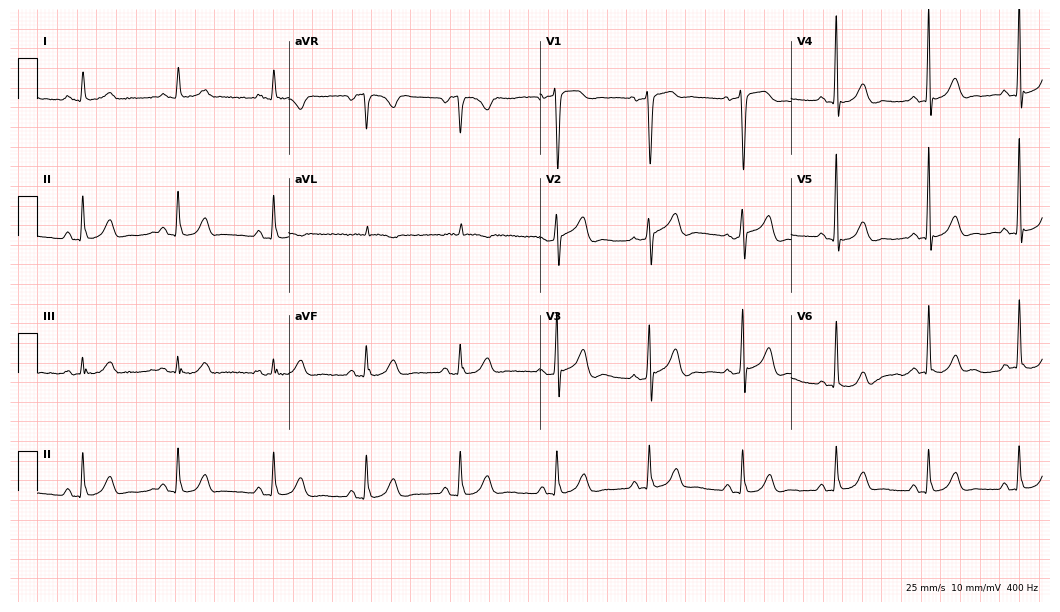
ECG (10.2-second recording at 400 Hz) — a male patient, 66 years old. Labelled as a normal ECG.